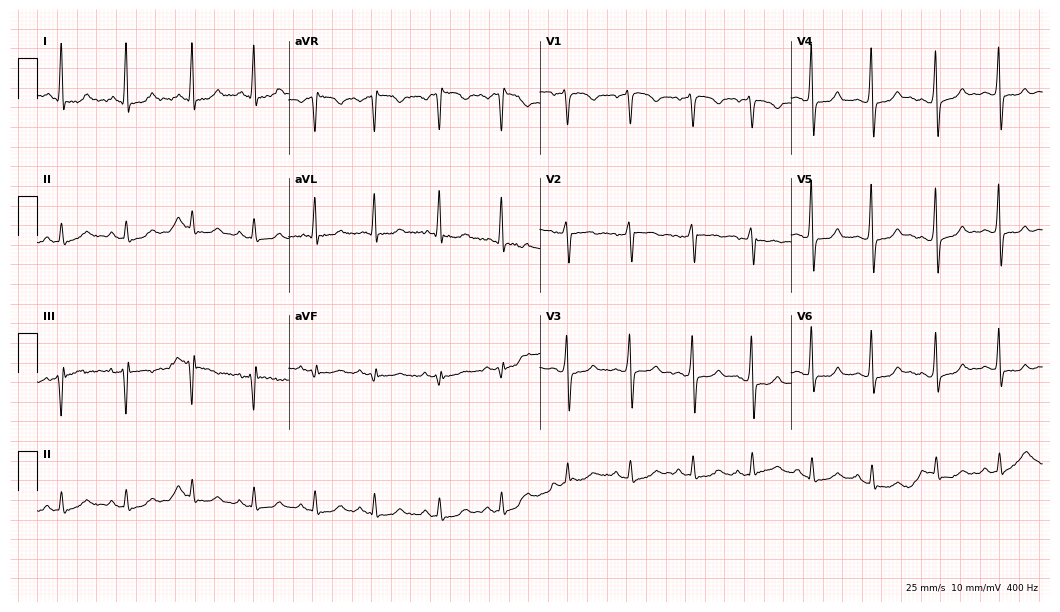
Standard 12-lead ECG recorded from a male patient, 48 years old (10.2-second recording at 400 Hz). Read as a normal ECG.